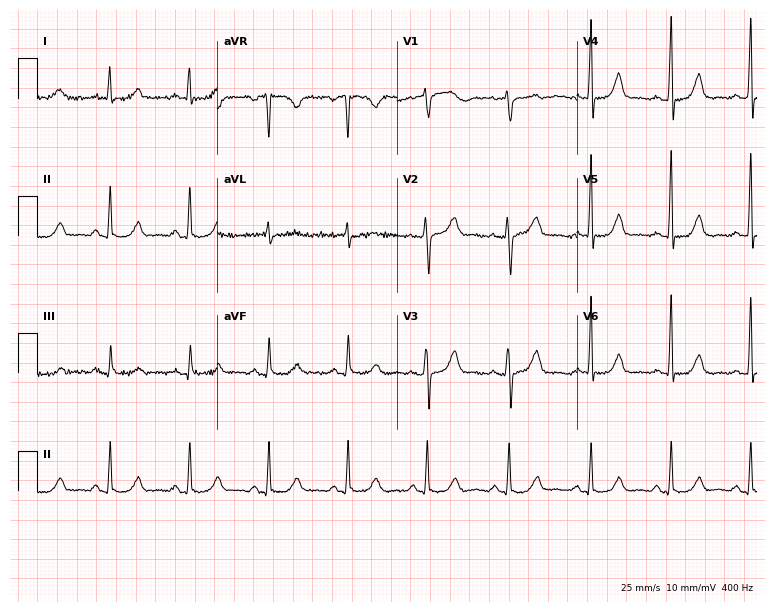
12-lead ECG from a 60-year-old female patient. No first-degree AV block, right bundle branch block, left bundle branch block, sinus bradycardia, atrial fibrillation or sinus tachycardia recorded for this tracing. Findings outside these six are not listed.